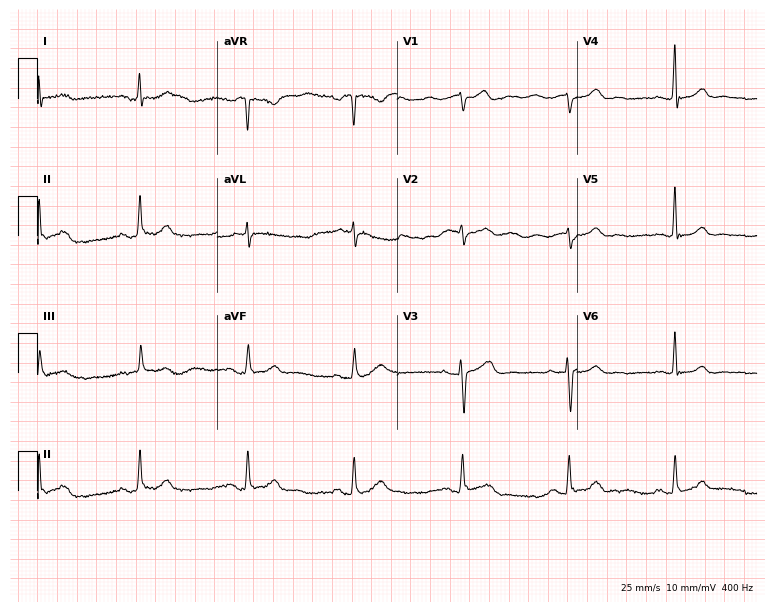
Standard 12-lead ECG recorded from a female patient, 66 years old. None of these six findings is recorded: first-degree AV block, right bundle branch block, left bundle branch block, sinus bradycardia, atrial fibrillation, sinus tachycardia. Only these six findings were labelled.